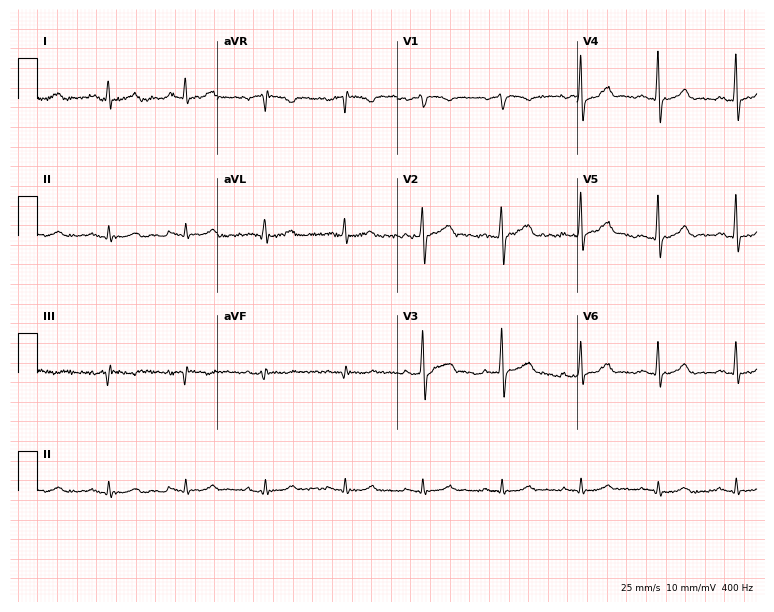
12-lead ECG from a 44-year-old male. Labelled as a normal ECG.